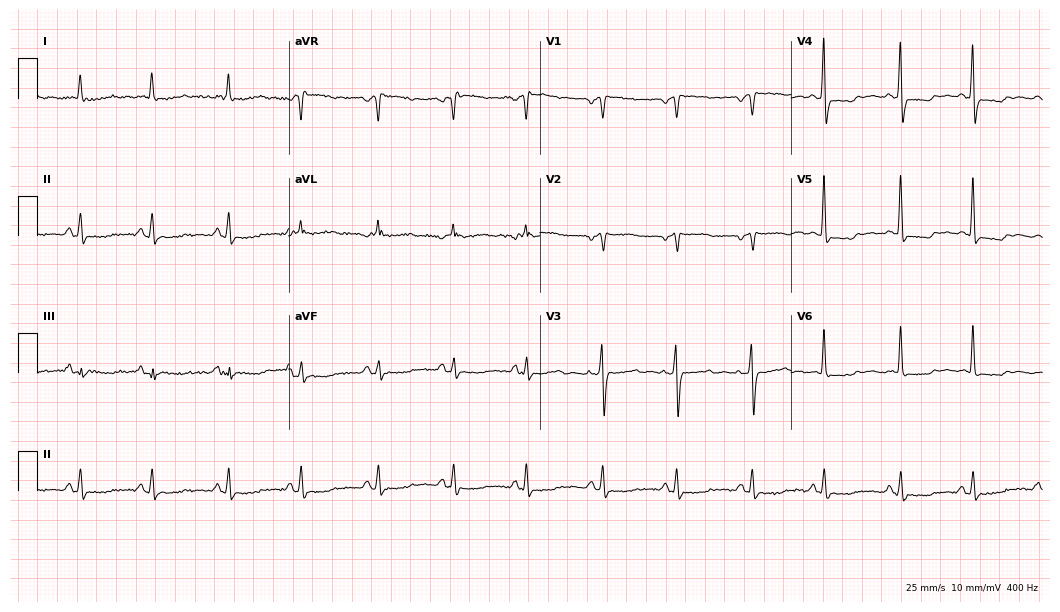
Electrocardiogram, a man, 81 years old. Of the six screened findings (first-degree AV block, right bundle branch block (RBBB), left bundle branch block (LBBB), sinus bradycardia, atrial fibrillation (AF), sinus tachycardia), none is recorded. Other findings, if any, are not listed.